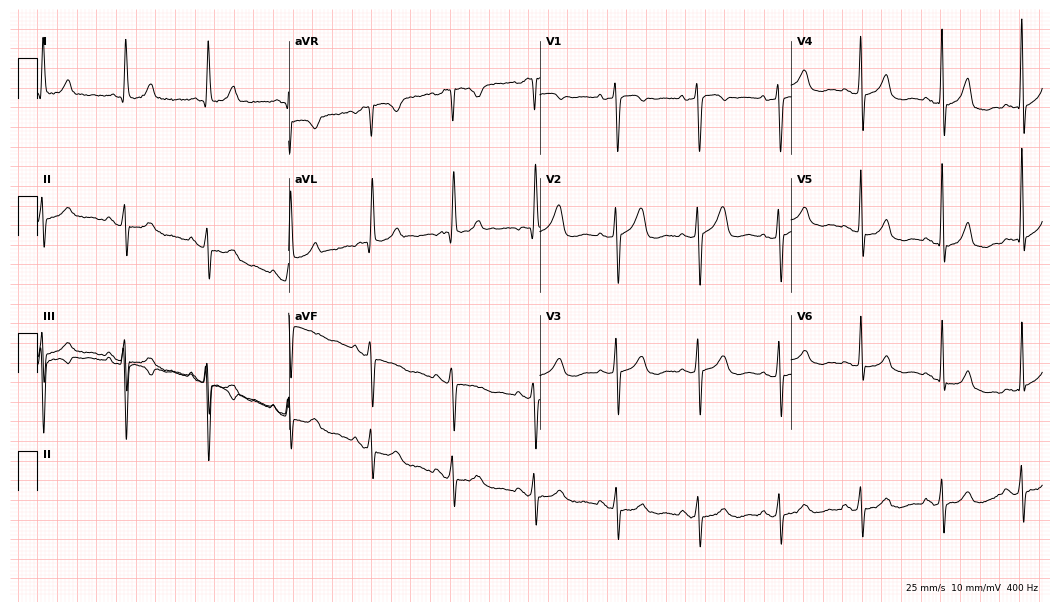
Resting 12-lead electrocardiogram (10.2-second recording at 400 Hz). Patient: a female, 78 years old. None of these six findings is recorded: first-degree AV block, right bundle branch block (RBBB), left bundle branch block (LBBB), sinus bradycardia, atrial fibrillation (AF), sinus tachycardia. Findings outside these six are not listed.